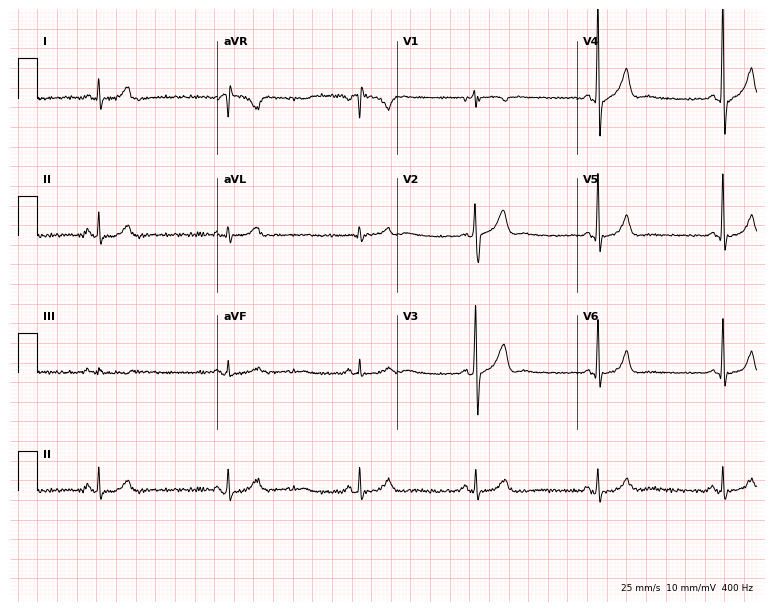
12-lead ECG from a male patient, 45 years old. Findings include sinus bradycardia (a sinus rate of 50 beats per minute or less).